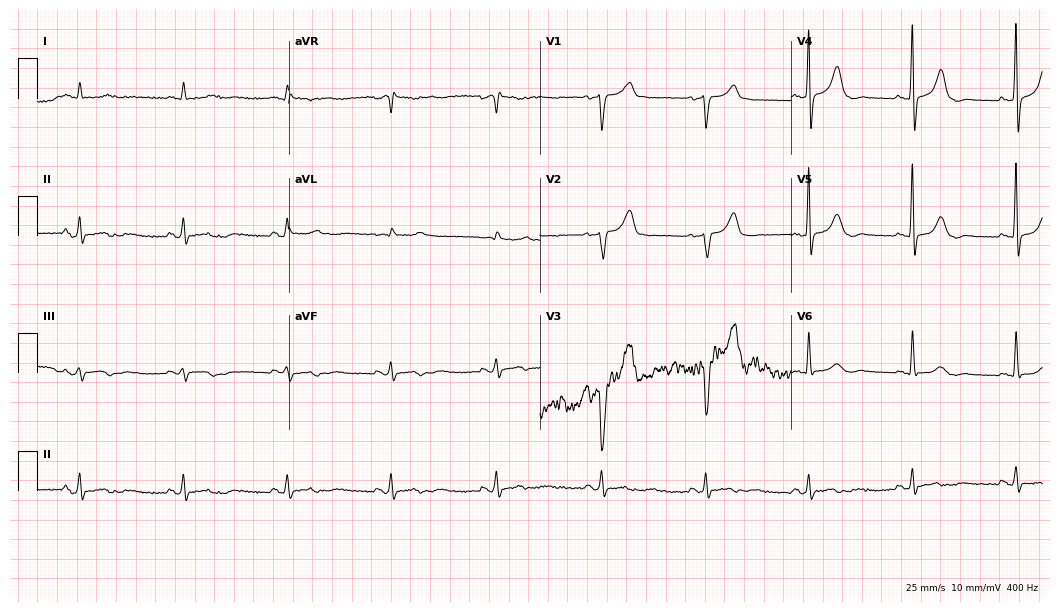
12-lead ECG from a 70-year-old male. Screened for six findings — first-degree AV block, right bundle branch block, left bundle branch block, sinus bradycardia, atrial fibrillation, sinus tachycardia — none is recorded. Findings outside these six are not listed.